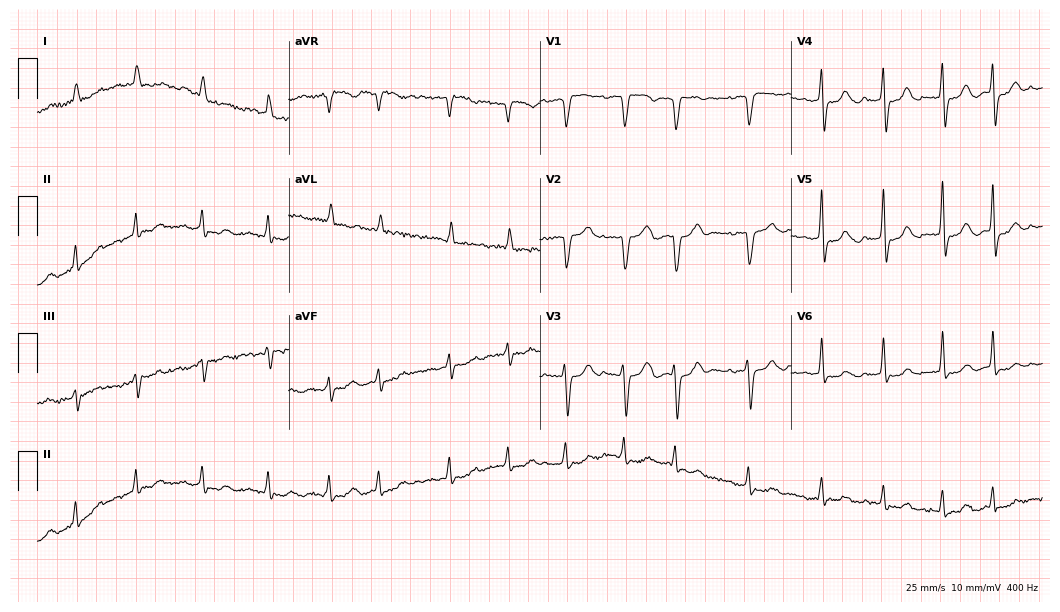
Resting 12-lead electrocardiogram (10.2-second recording at 400 Hz). Patient: an 80-year-old female. None of these six findings is recorded: first-degree AV block, right bundle branch block, left bundle branch block, sinus bradycardia, atrial fibrillation, sinus tachycardia. Only these six findings were labelled.